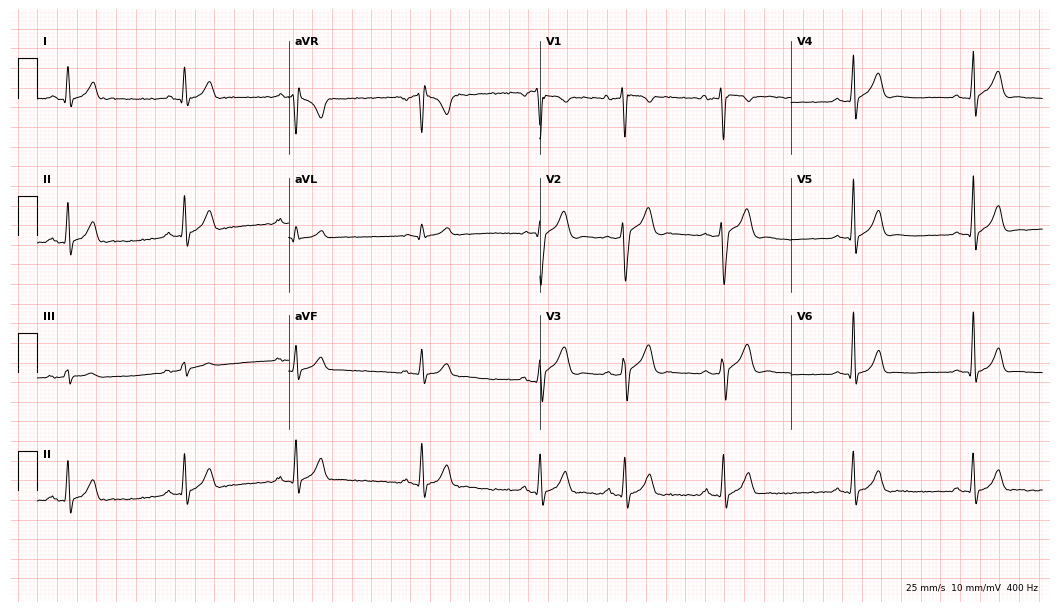
Resting 12-lead electrocardiogram (10.2-second recording at 400 Hz). Patient: a male, 20 years old. None of these six findings is recorded: first-degree AV block, right bundle branch block, left bundle branch block, sinus bradycardia, atrial fibrillation, sinus tachycardia. Only these six findings were labelled.